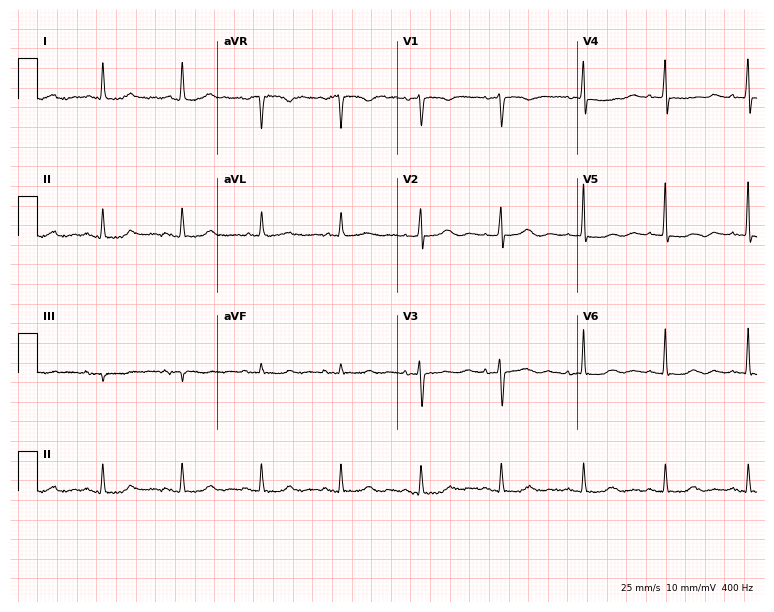
Electrocardiogram, a man, 63 years old. Overall reading on record: normal ECG.